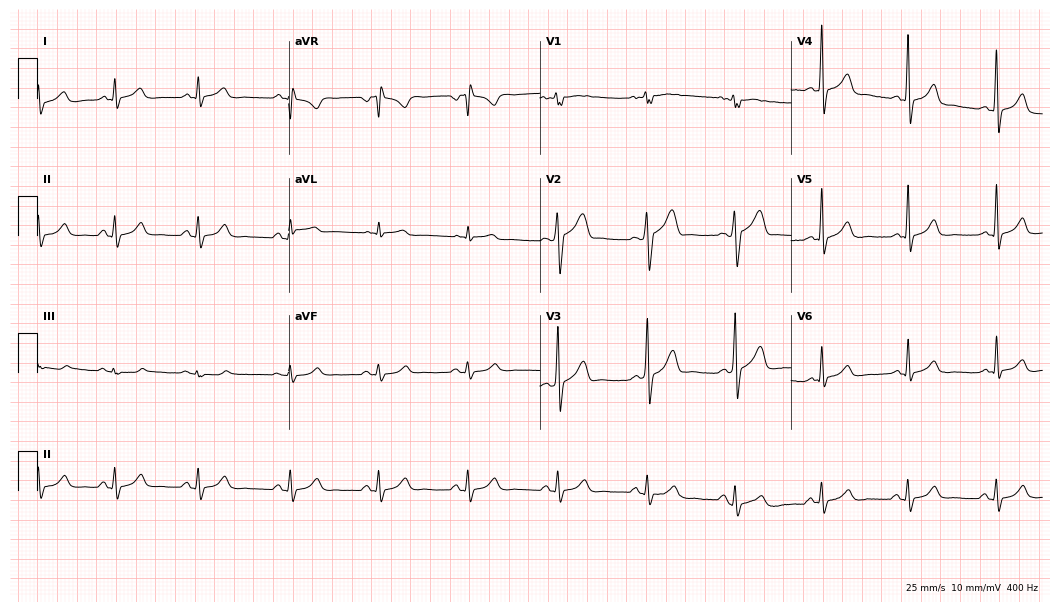
12-lead ECG from a male patient, 49 years old. Recorded interpretation: within normal limits.